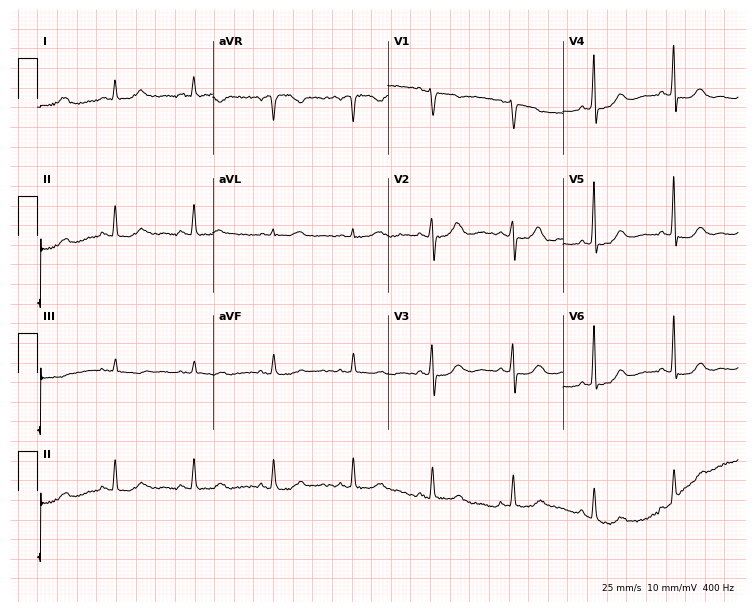
Electrocardiogram, a 53-year-old male. Overall reading on record: normal ECG.